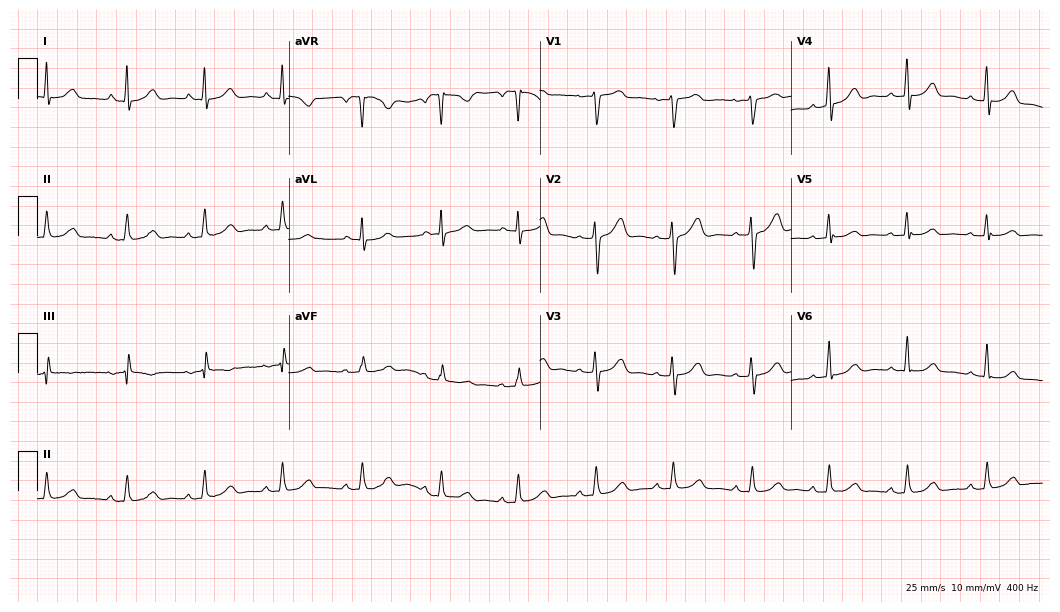
Standard 12-lead ECG recorded from a 43-year-old female patient. Read as a normal ECG.